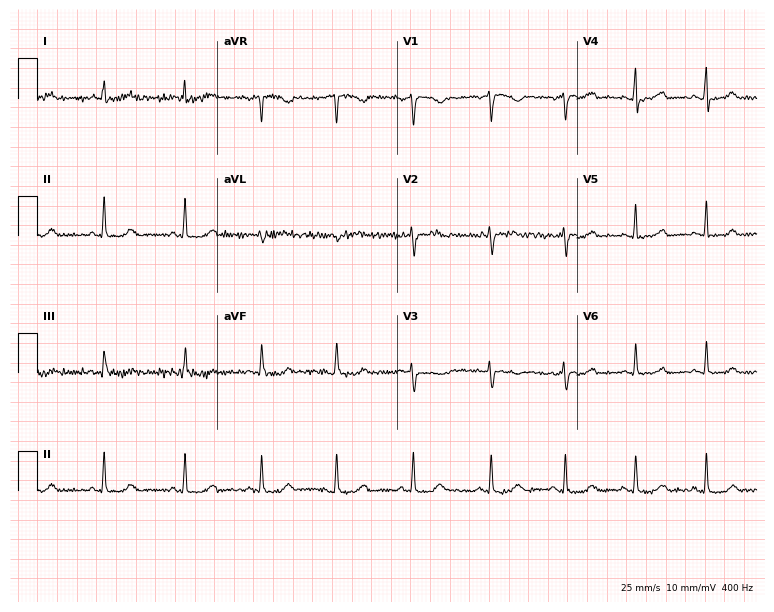
Electrocardiogram, a woman, 26 years old. Overall reading on record: normal ECG.